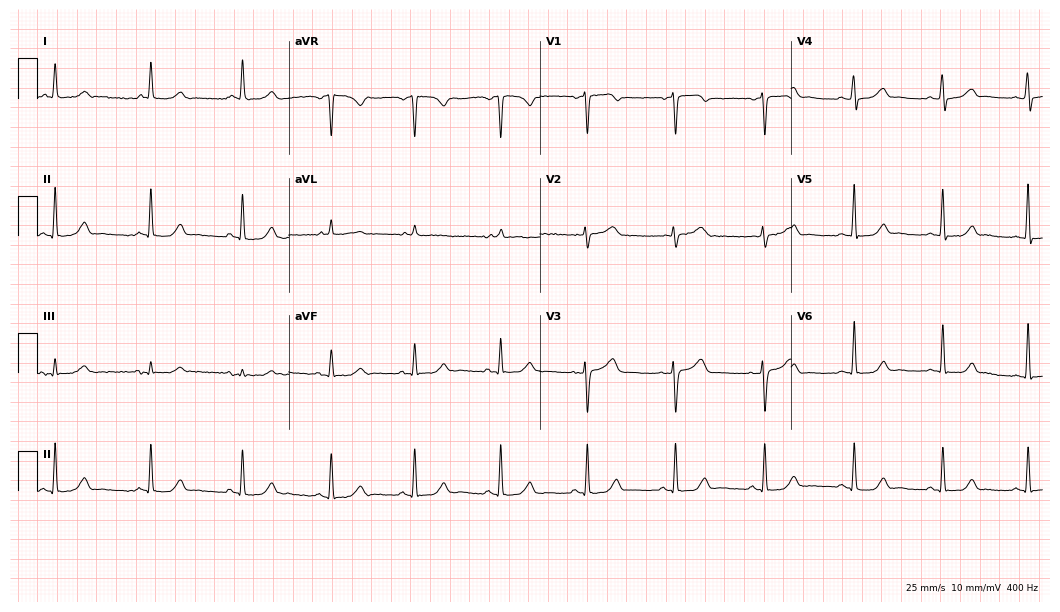
ECG — a 60-year-old female. Screened for six findings — first-degree AV block, right bundle branch block (RBBB), left bundle branch block (LBBB), sinus bradycardia, atrial fibrillation (AF), sinus tachycardia — none is recorded.